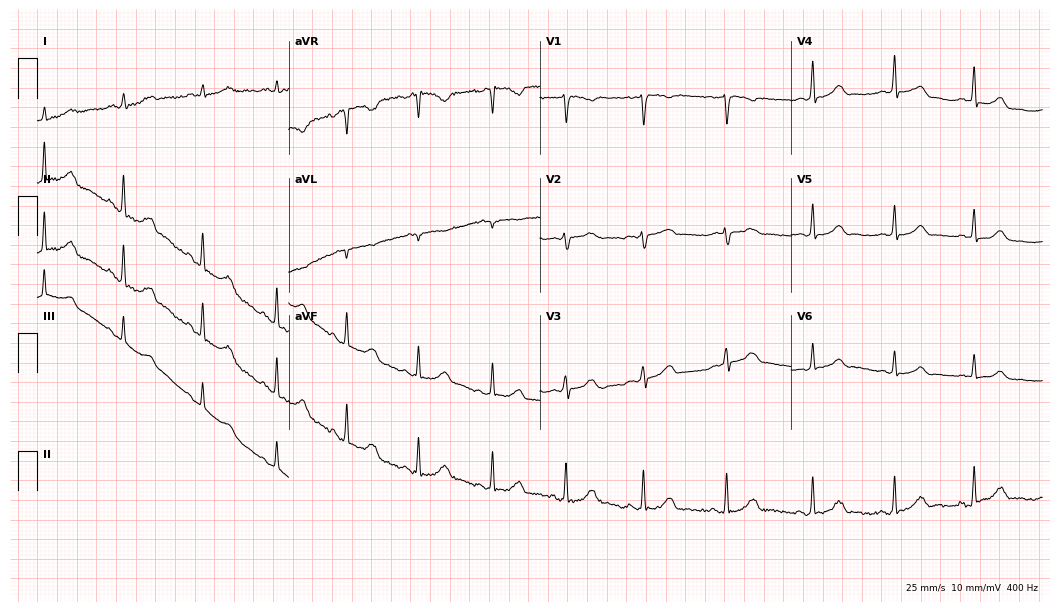
Electrocardiogram, a 42-year-old woman. Overall reading on record: normal ECG.